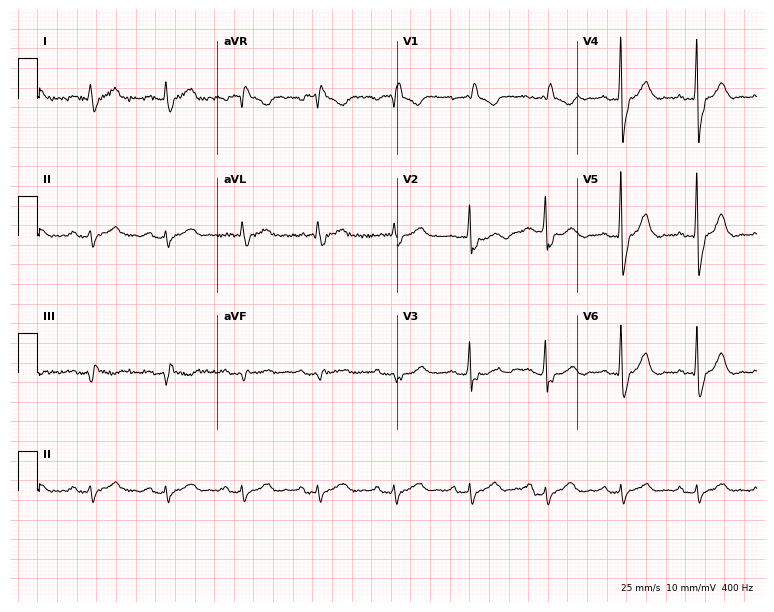
Resting 12-lead electrocardiogram. Patient: a 79-year-old male. None of these six findings is recorded: first-degree AV block, right bundle branch block, left bundle branch block, sinus bradycardia, atrial fibrillation, sinus tachycardia.